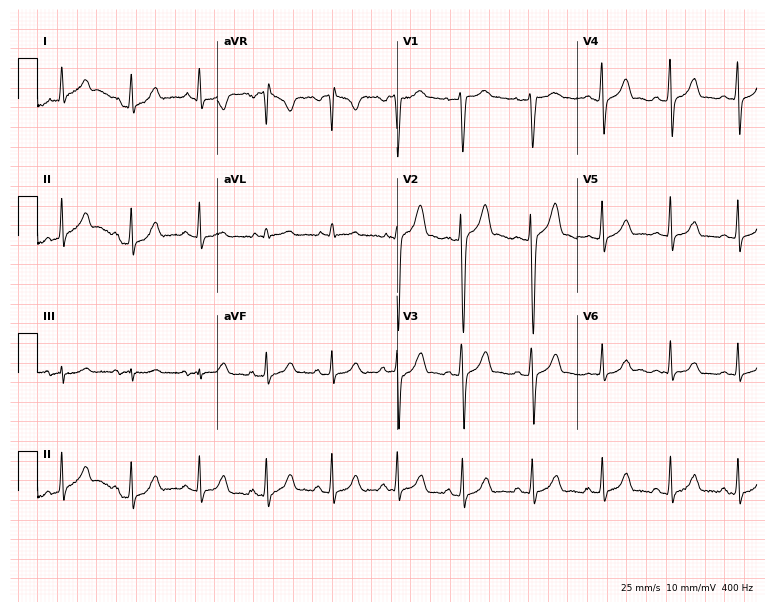
Electrocardiogram, a 23-year-old male patient. Of the six screened findings (first-degree AV block, right bundle branch block, left bundle branch block, sinus bradycardia, atrial fibrillation, sinus tachycardia), none is recorded. Other findings, if any, are not listed.